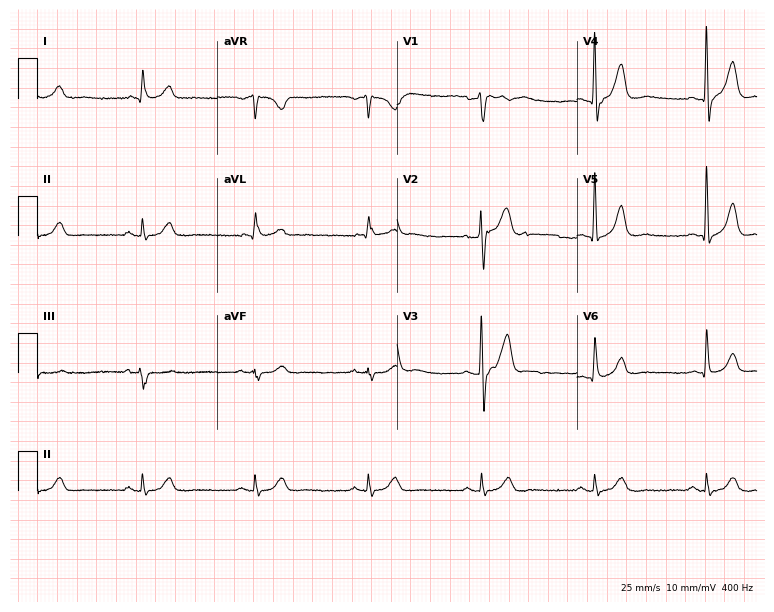
Resting 12-lead electrocardiogram. Patient: a 57-year-old man. None of these six findings is recorded: first-degree AV block, right bundle branch block, left bundle branch block, sinus bradycardia, atrial fibrillation, sinus tachycardia. Other findings, if any, are not listed.